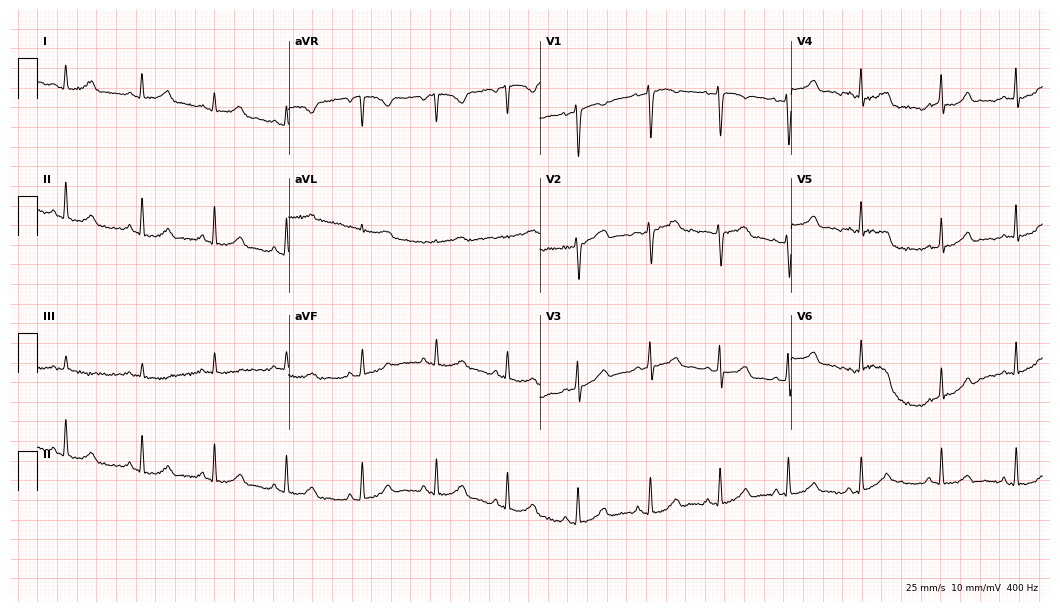
Electrocardiogram (10.2-second recording at 400 Hz), a 38-year-old woman. Overall reading on record: normal ECG.